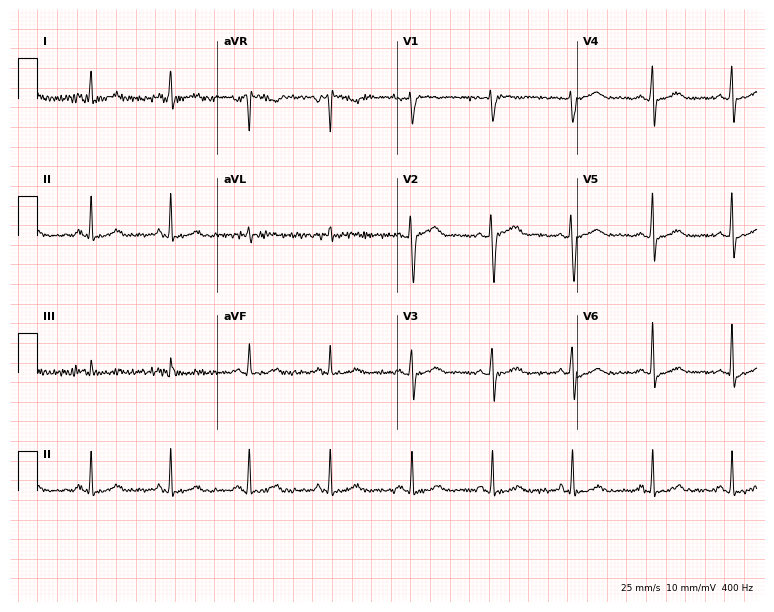
12-lead ECG (7.3-second recording at 400 Hz) from a 47-year-old female patient. Labelled as a normal ECG.